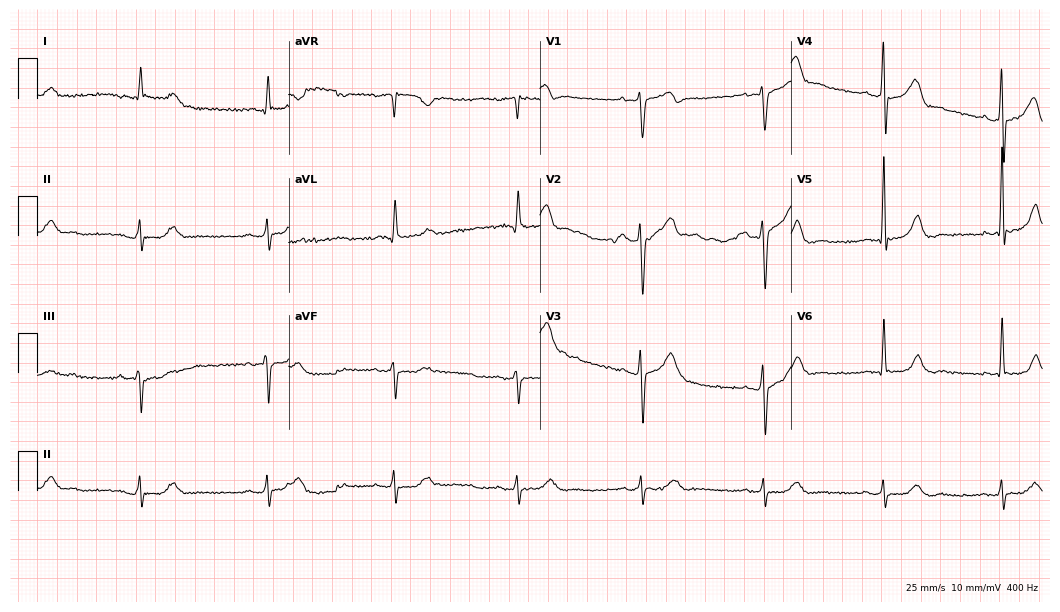
ECG — a 73-year-old male. Findings include sinus bradycardia (a sinus rate of 50 beats per minute or less).